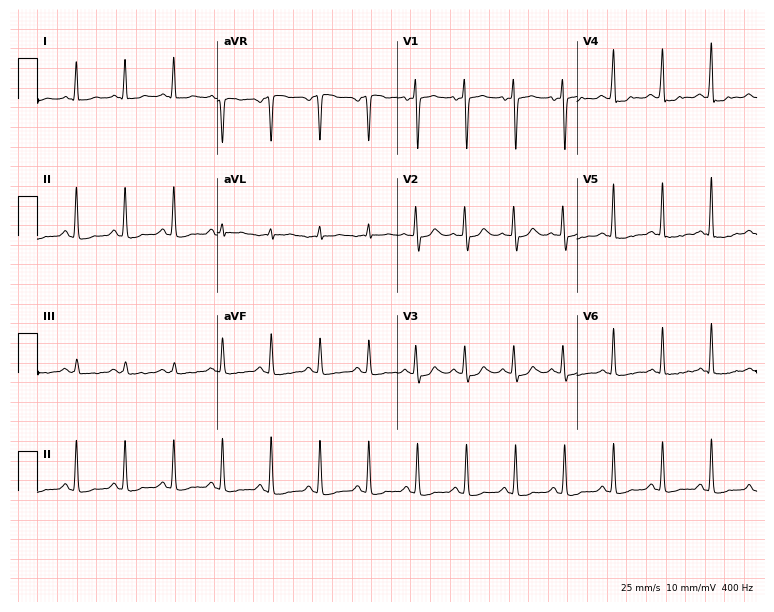
Standard 12-lead ECG recorded from a woman, 29 years old (7.3-second recording at 400 Hz). None of these six findings is recorded: first-degree AV block, right bundle branch block, left bundle branch block, sinus bradycardia, atrial fibrillation, sinus tachycardia. Findings outside these six are not listed.